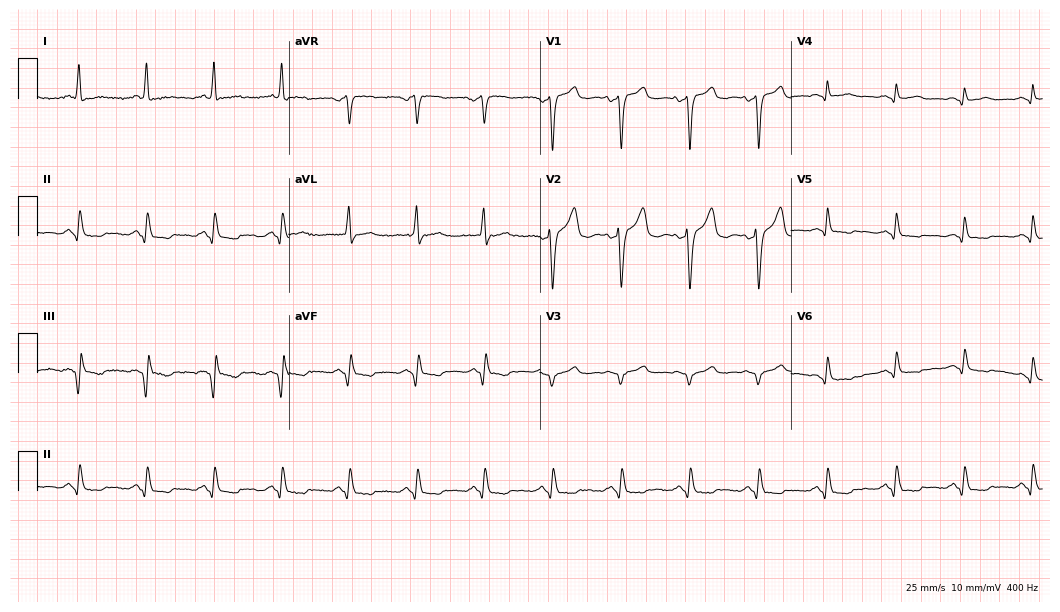
Electrocardiogram, a 66-year-old woman. Of the six screened findings (first-degree AV block, right bundle branch block (RBBB), left bundle branch block (LBBB), sinus bradycardia, atrial fibrillation (AF), sinus tachycardia), none is recorded. Only these six findings were labelled.